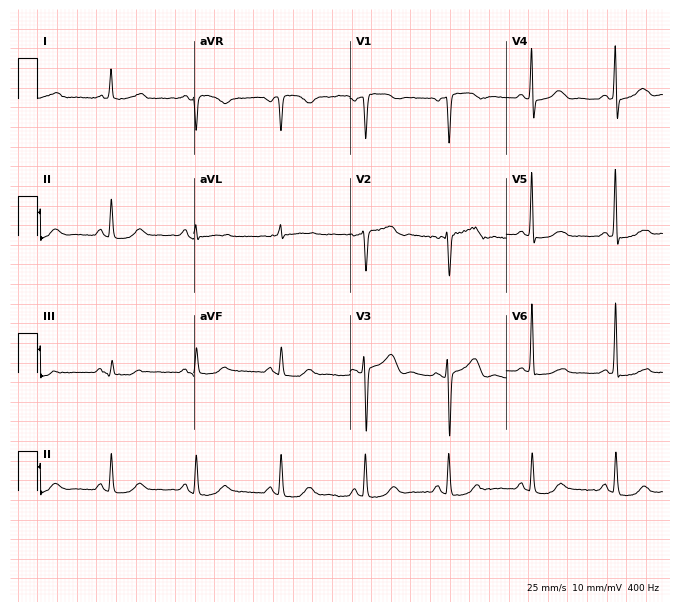
12-lead ECG from a 76-year-old woman. Labelled as a normal ECG.